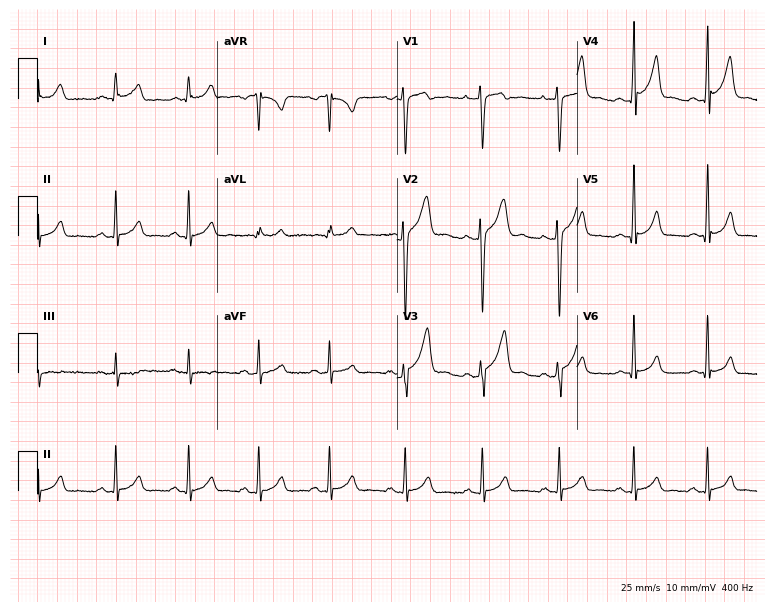
12-lead ECG from a male, 22 years old. Screened for six findings — first-degree AV block, right bundle branch block, left bundle branch block, sinus bradycardia, atrial fibrillation, sinus tachycardia — none is recorded. Only these six findings were labelled.